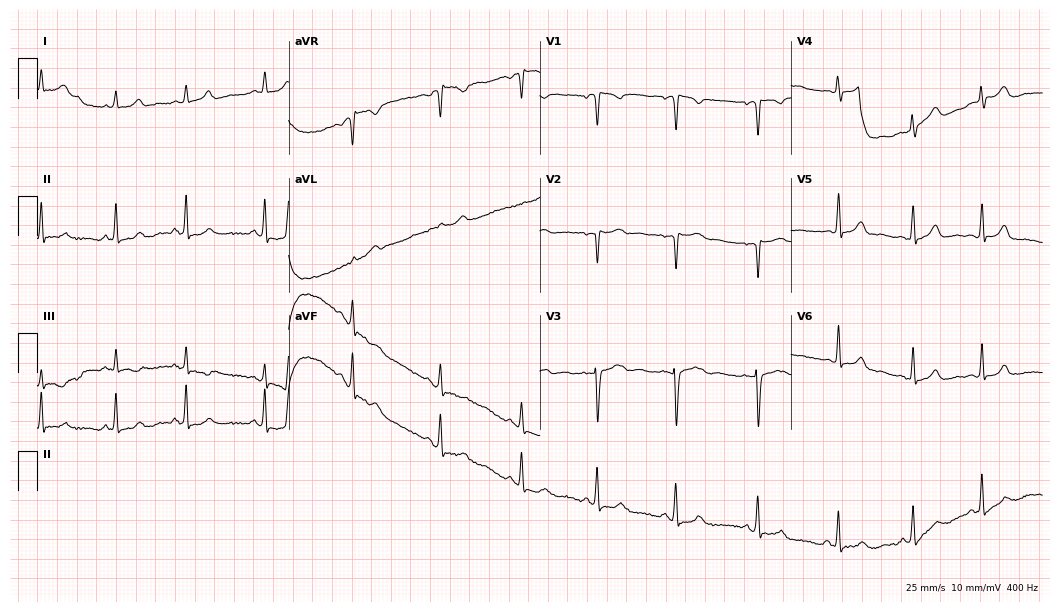
Standard 12-lead ECG recorded from a female patient, 21 years old. None of these six findings is recorded: first-degree AV block, right bundle branch block, left bundle branch block, sinus bradycardia, atrial fibrillation, sinus tachycardia.